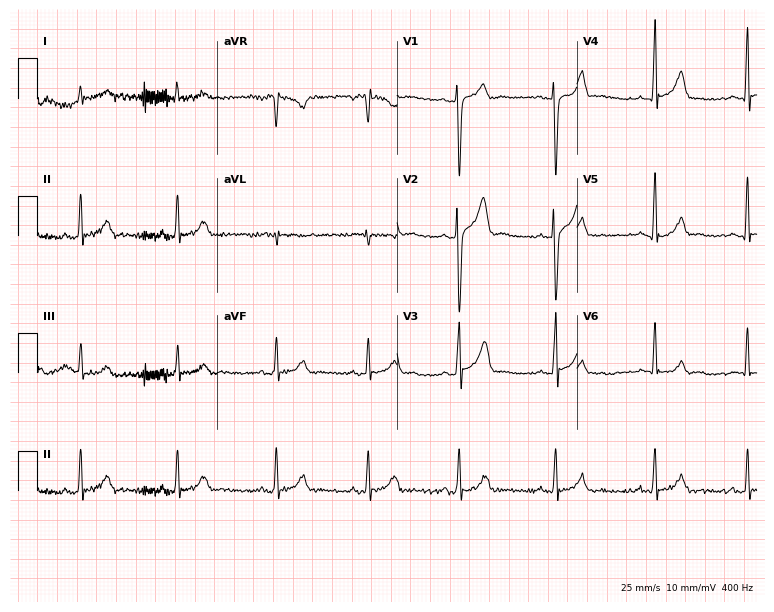
Electrocardiogram (7.3-second recording at 400 Hz), a 26-year-old male patient. Overall reading on record: normal ECG.